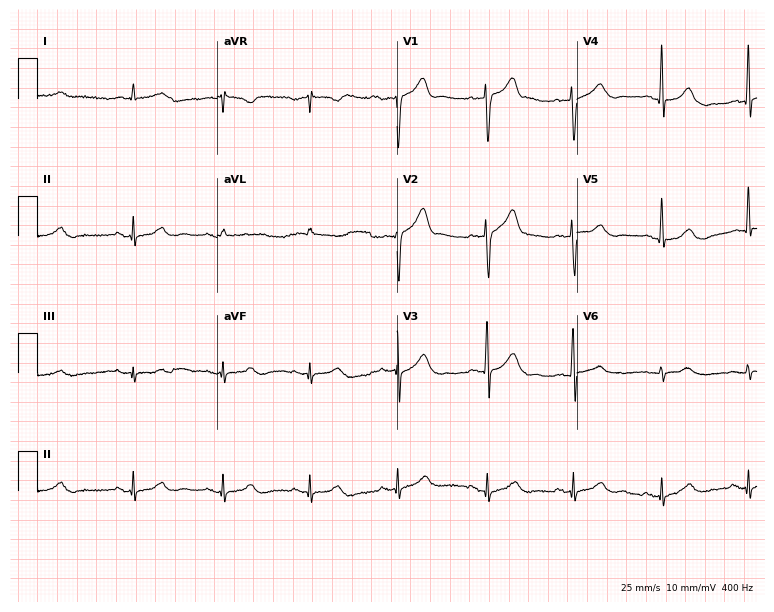
12-lead ECG from a 75-year-old male. Labelled as a normal ECG.